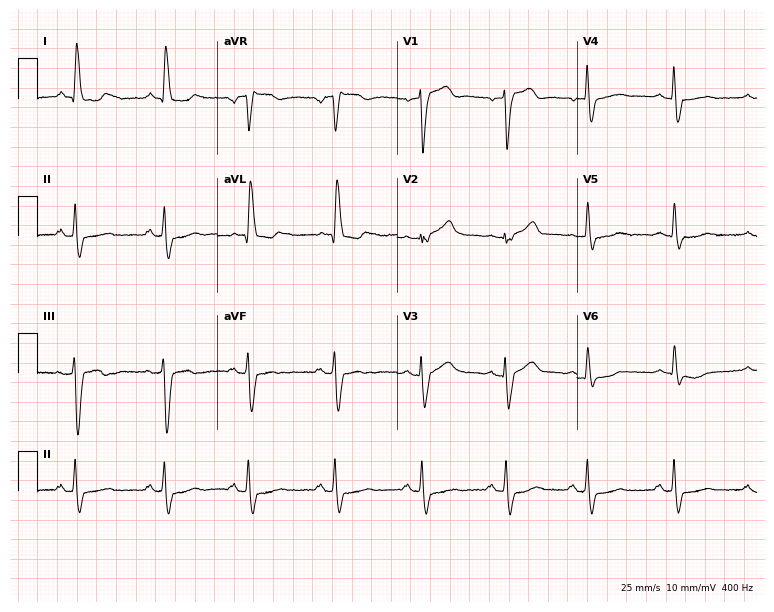
Resting 12-lead electrocardiogram (7.3-second recording at 400 Hz). Patient: a female, 71 years old. None of these six findings is recorded: first-degree AV block, right bundle branch block (RBBB), left bundle branch block (LBBB), sinus bradycardia, atrial fibrillation (AF), sinus tachycardia.